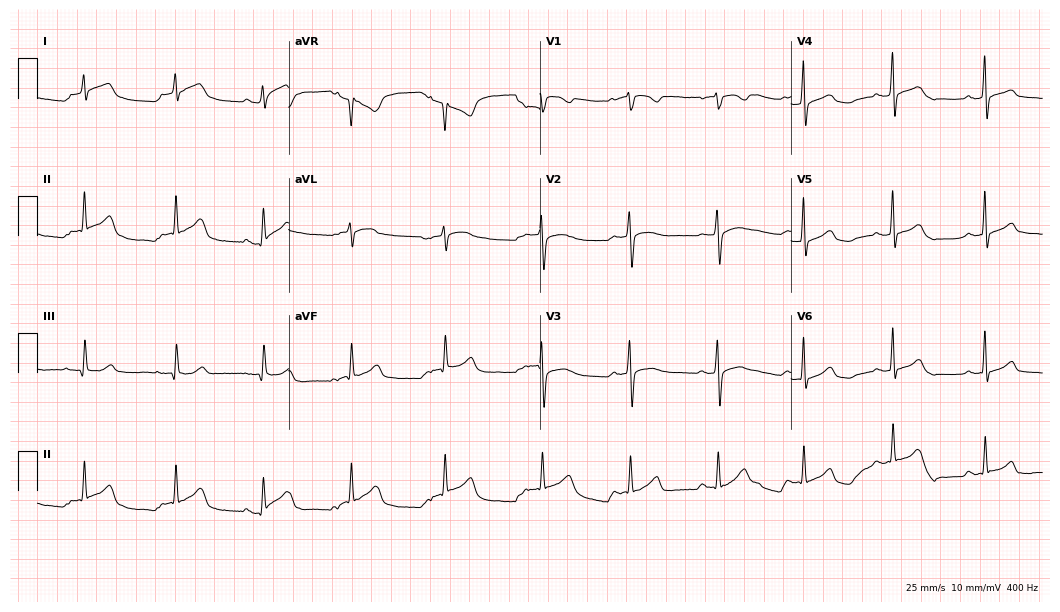
Resting 12-lead electrocardiogram. Patient: a 51-year-old female. Read as a normal ECG.